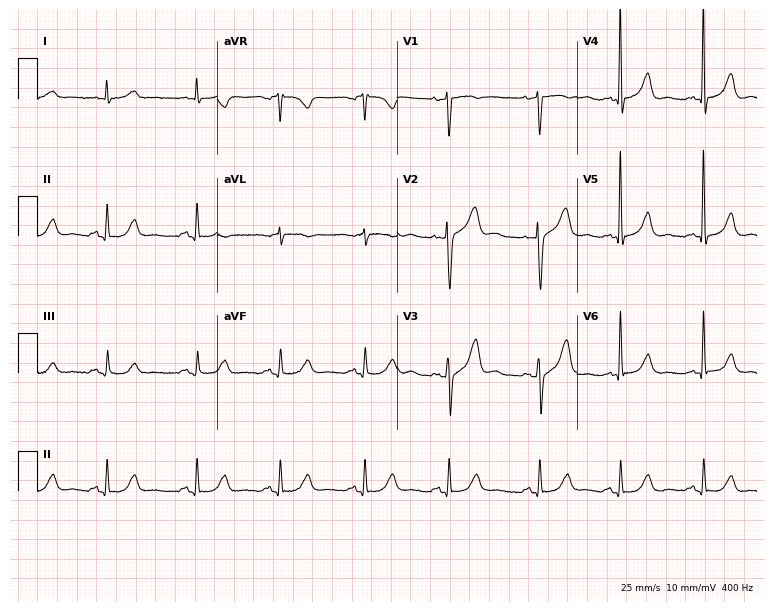
ECG (7.3-second recording at 400 Hz) — a man, 84 years old. Labelled as a normal ECG.